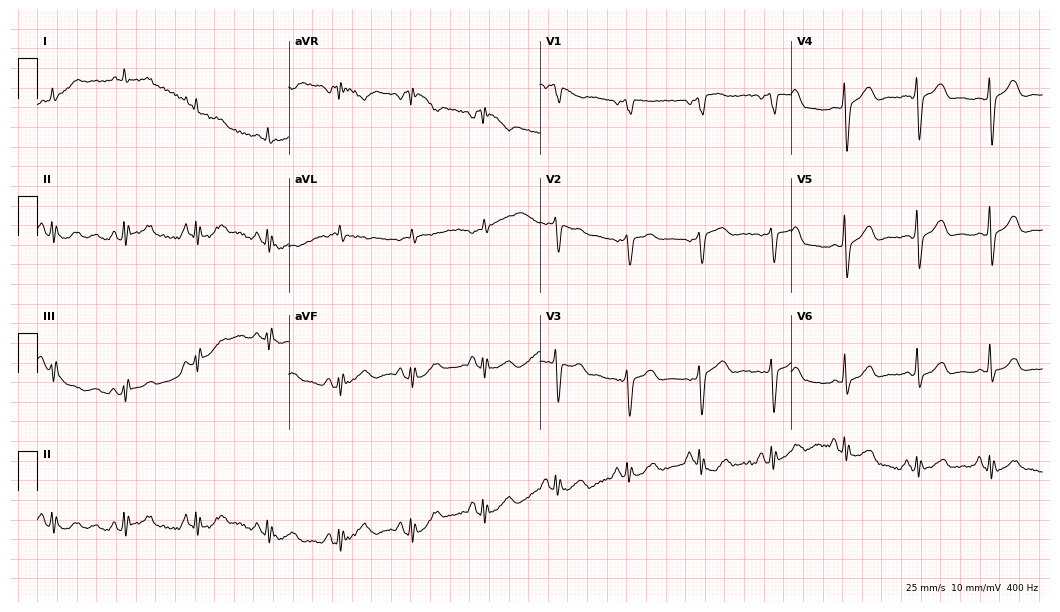
12-lead ECG from a female, 80 years old (10.2-second recording at 400 Hz). No first-degree AV block, right bundle branch block, left bundle branch block, sinus bradycardia, atrial fibrillation or sinus tachycardia recorded for this tracing. Findings outside these six are not listed.